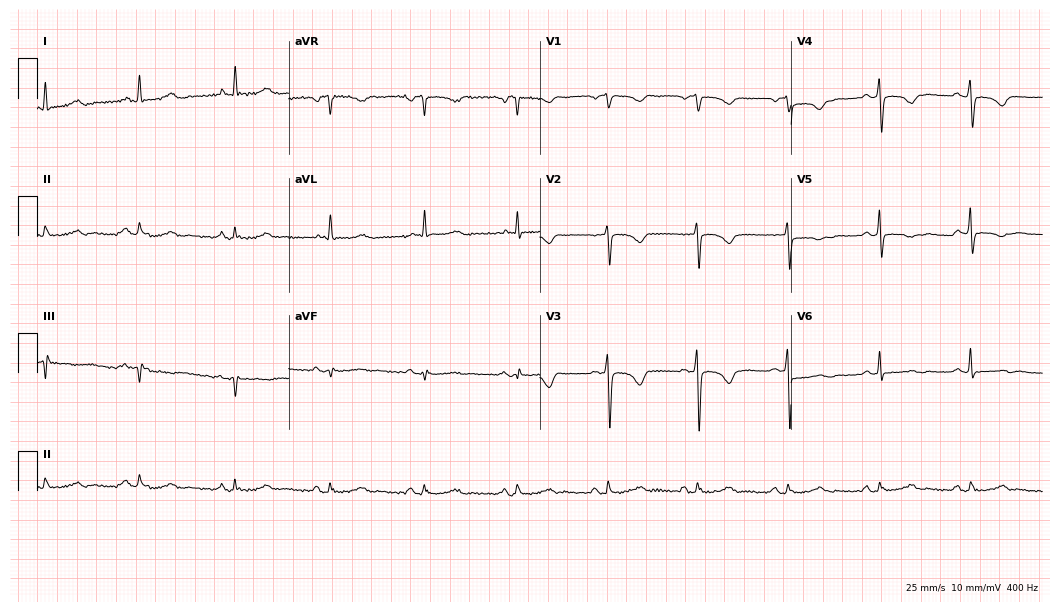
12-lead ECG from a 62-year-old female patient. No first-degree AV block, right bundle branch block (RBBB), left bundle branch block (LBBB), sinus bradycardia, atrial fibrillation (AF) or sinus tachycardia recorded for this tracing.